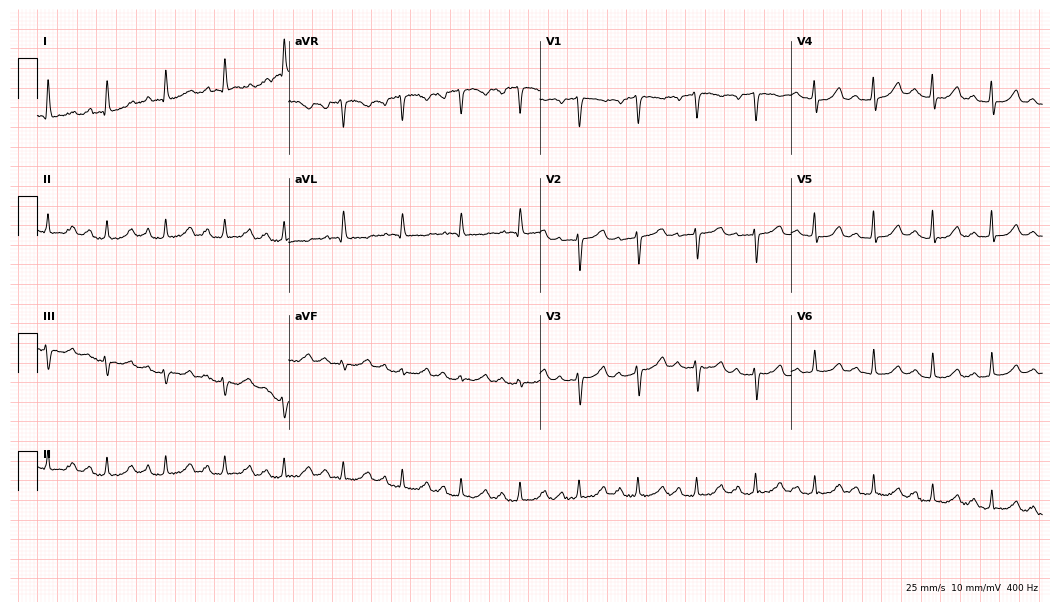
12-lead ECG (10.2-second recording at 400 Hz) from a 69-year-old female. Labelled as a normal ECG.